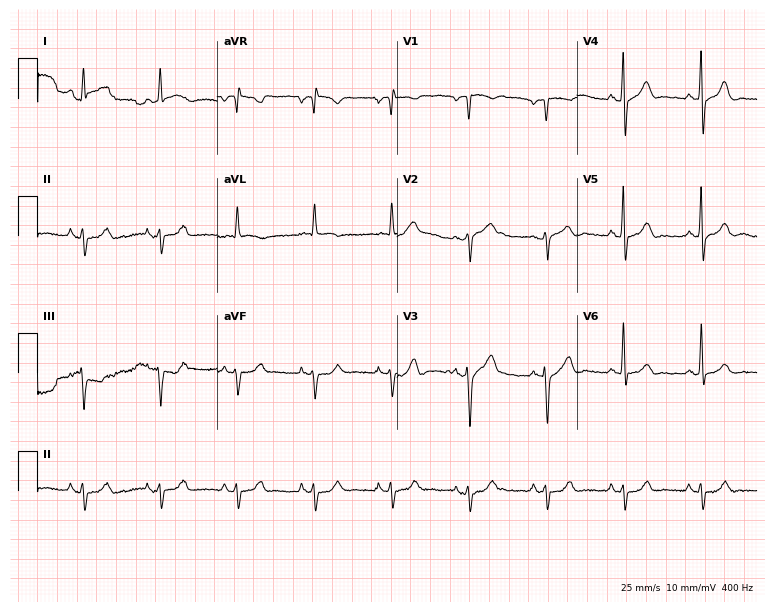
Electrocardiogram (7.3-second recording at 400 Hz), a male patient, 73 years old. Of the six screened findings (first-degree AV block, right bundle branch block, left bundle branch block, sinus bradycardia, atrial fibrillation, sinus tachycardia), none is recorded. Other findings, if any, are not listed.